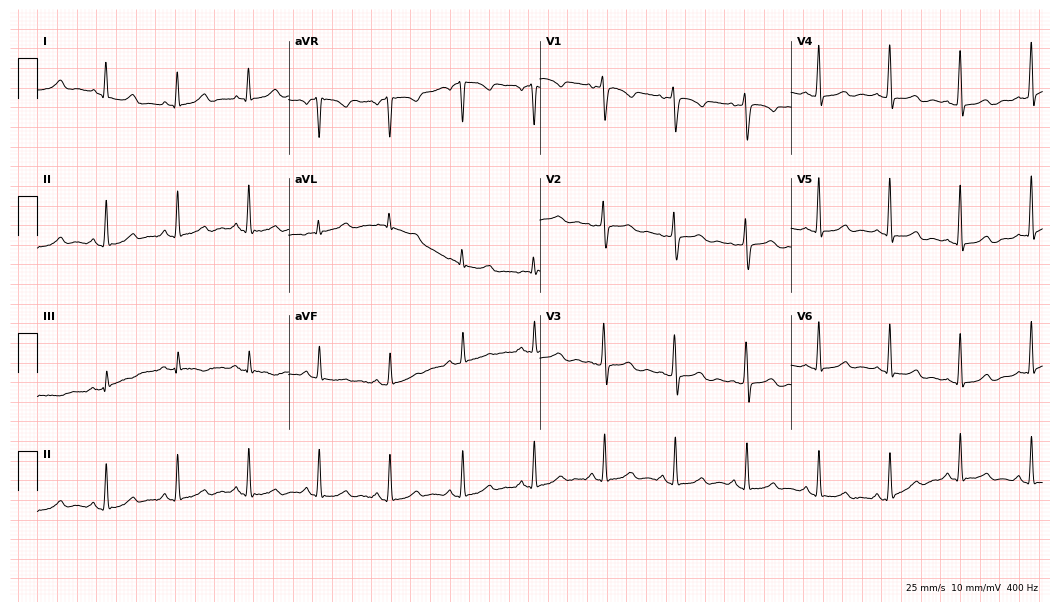
Electrocardiogram (10.2-second recording at 400 Hz), a woman, 45 years old. Of the six screened findings (first-degree AV block, right bundle branch block, left bundle branch block, sinus bradycardia, atrial fibrillation, sinus tachycardia), none is recorded. Findings outside these six are not listed.